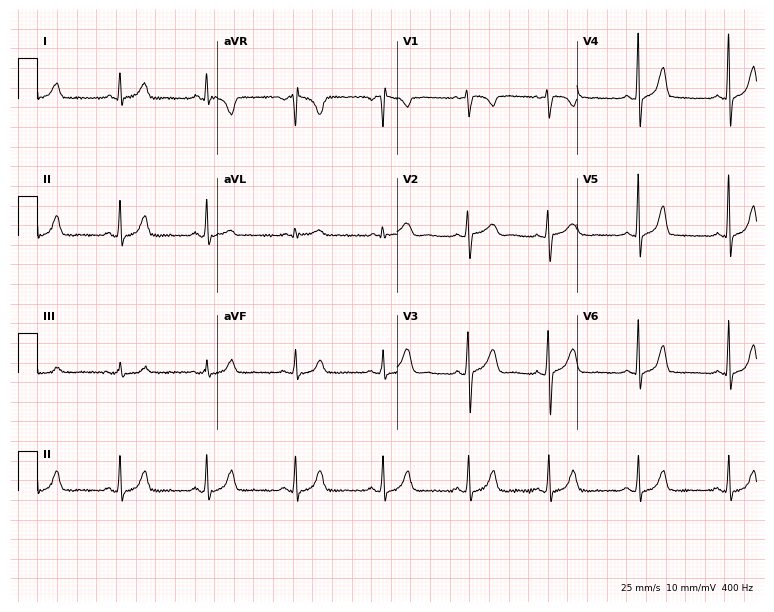
12-lead ECG from a 34-year-old woman. Recorded interpretation: within normal limits.